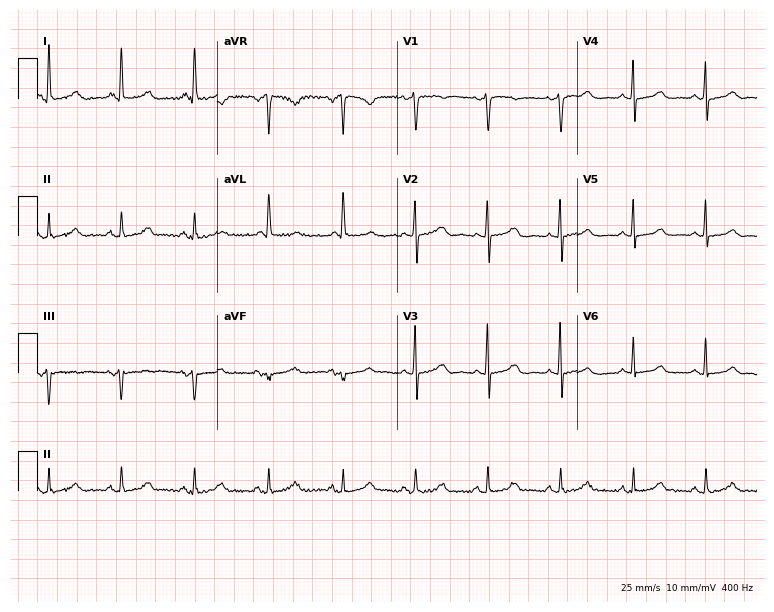
Electrocardiogram, a 60-year-old female. Of the six screened findings (first-degree AV block, right bundle branch block (RBBB), left bundle branch block (LBBB), sinus bradycardia, atrial fibrillation (AF), sinus tachycardia), none is recorded.